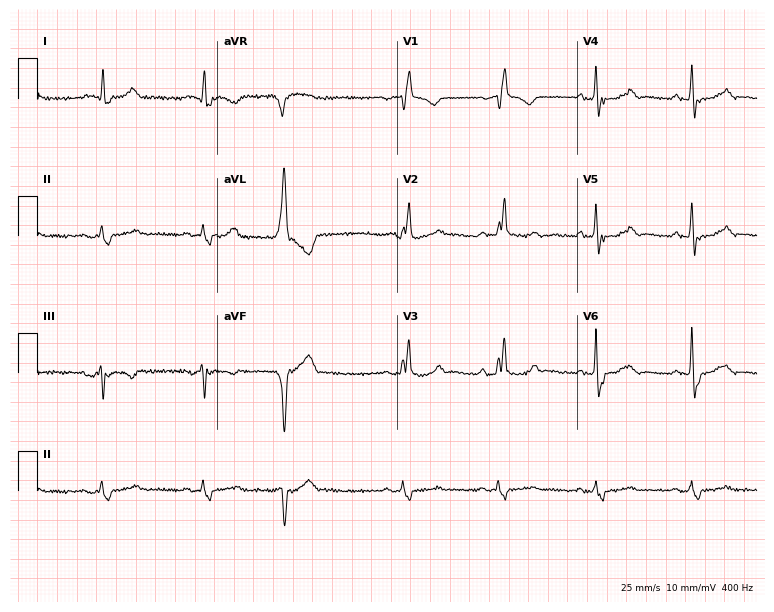
12-lead ECG (7.3-second recording at 400 Hz) from a male, 68 years old. Findings include right bundle branch block.